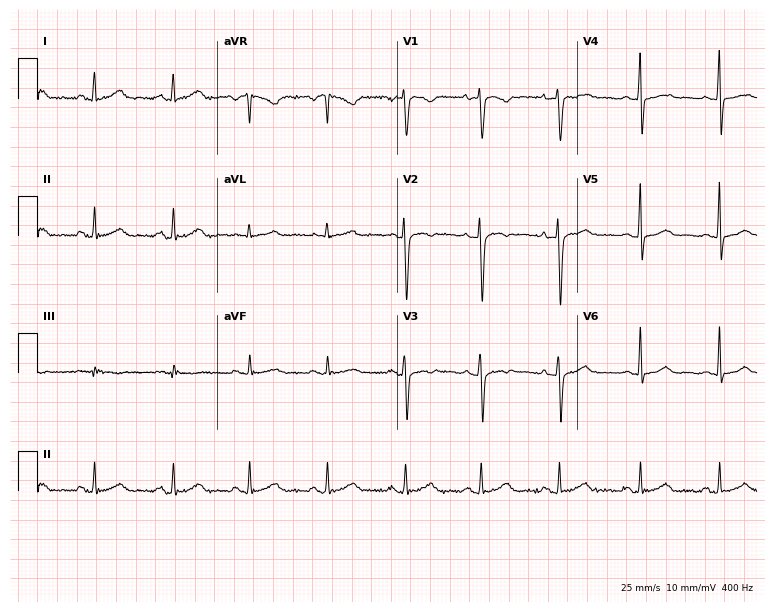
Standard 12-lead ECG recorded from a female patient, 27 years old (7.3-second recording at 400 Hz). Read as a normal ECG.